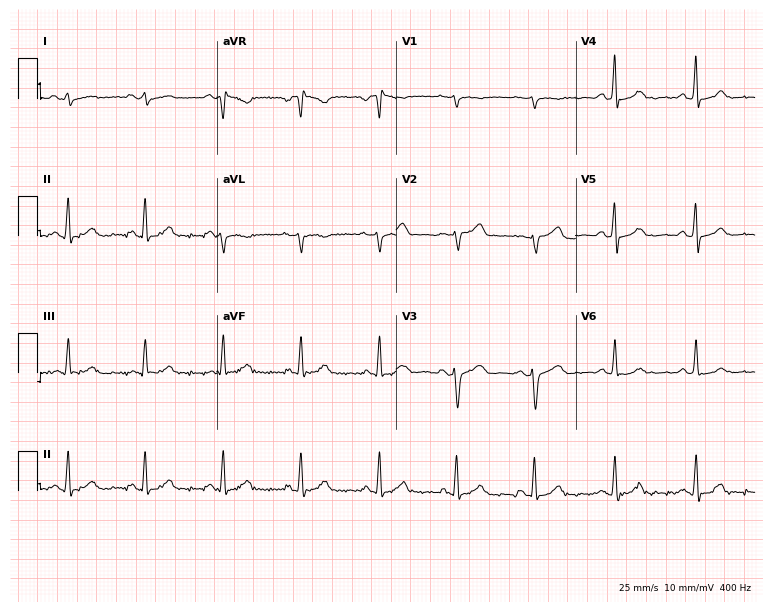
Electrocardiogram (7.3-second recording at 400 Hz), a 53-year-old female patient. Overall reading on record: normal ECG.